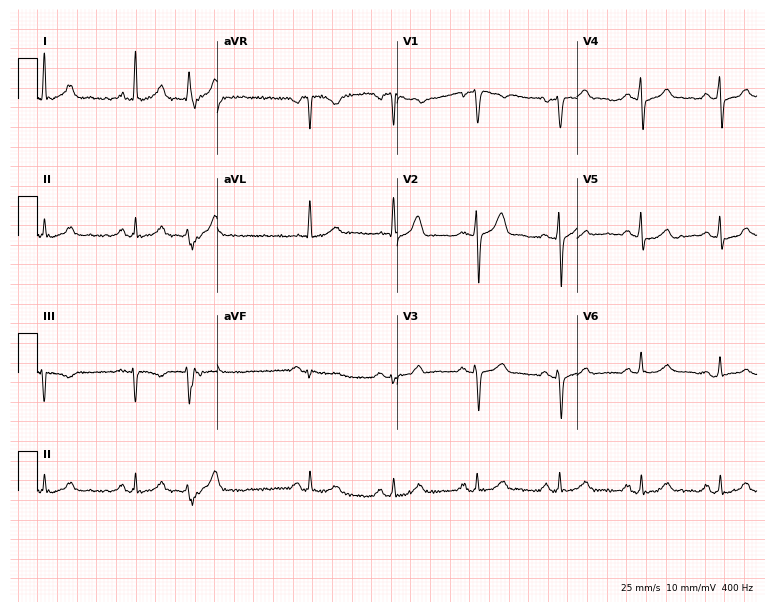
Resting 12-lead electrocardiogram (7.3-second recording at 400 Hz). Patient: a 60-year-old male. None of these six findings is recorded: first-degree AV block, right bundle branch block, left bundle branch block, sinus bradycardia, atrial fibrillation, sinus tachycardia. Only these six findings were labelled.